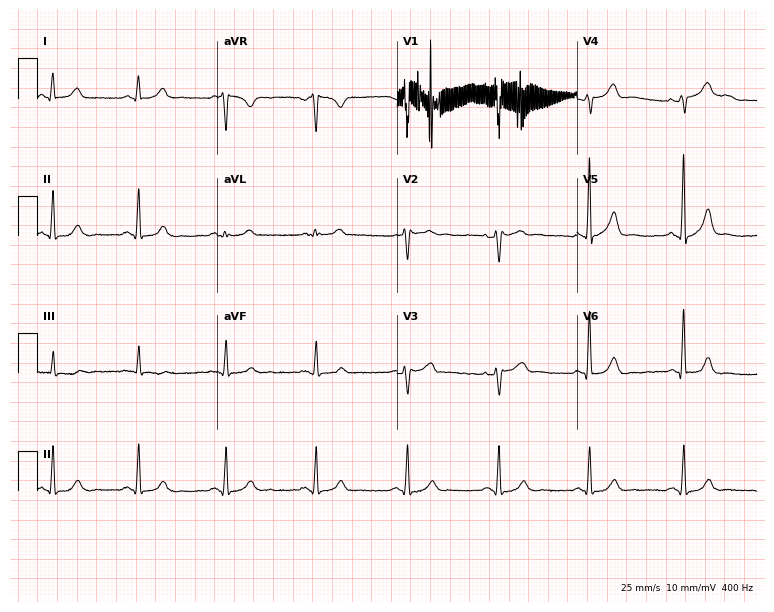
Resting 12-lead electrocardiogram. Patient: a male, 67 years old. None of these six findings is recorded: first-degree AV block, right bundle branch block, left bundle branch block, sinus bradycardia, atrial fibrillation, sinus tachycardia. Findings outside these six are not listed.